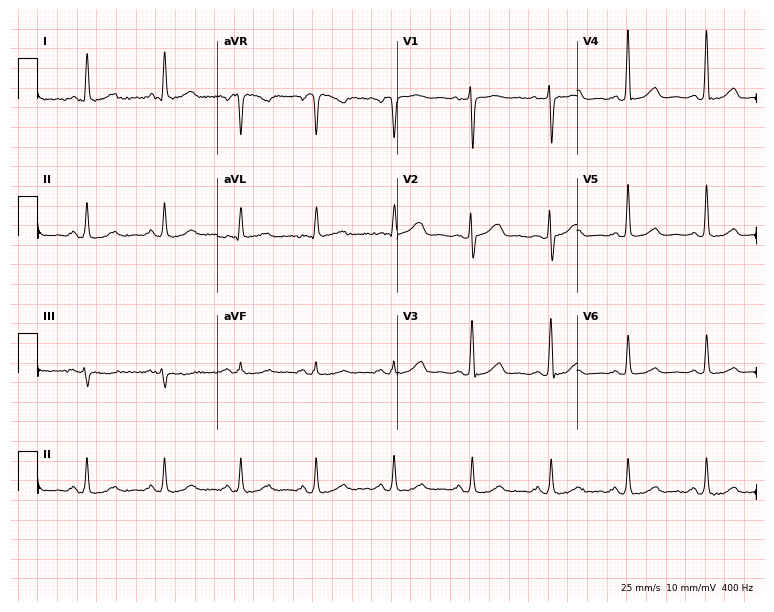
Resting 12-lead electrocardiogram (7.3-second recording at 400 Hz). Patient: a 67-year-old female. None of these six findings is recorded: first-degree AV block, right bundle branch block (RBBB), left bundle branch block (LBBB), sinus bradycardia, atrial fibrillation (AF), sinus tachycardia.